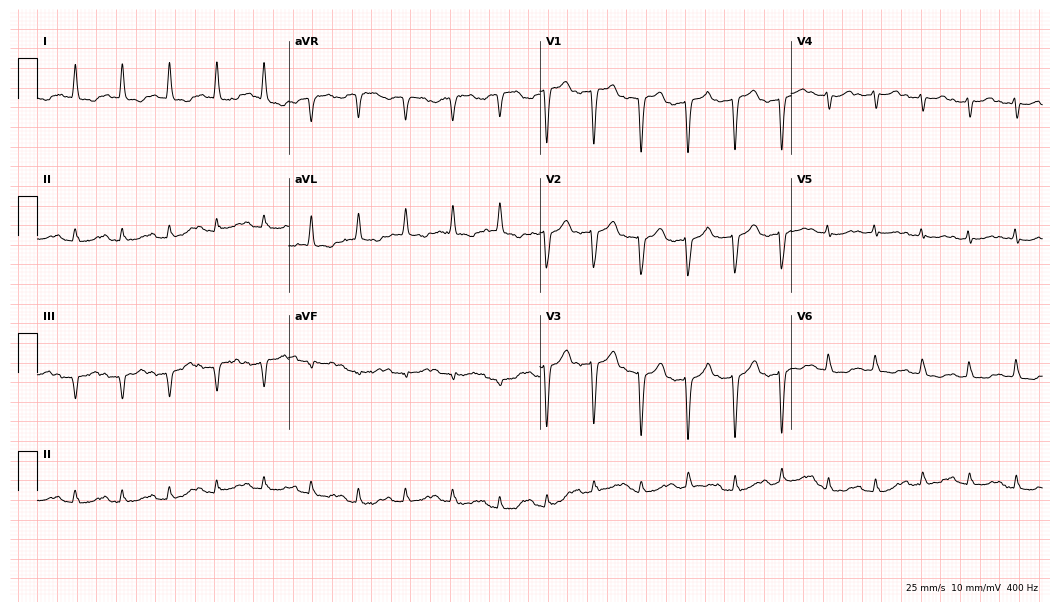
Resting 12-lead electrocardiogram. Patient: a female, 74 years old. The tracing shows sinus tachycardia (a sinus rate of 100 beats per minute or more).